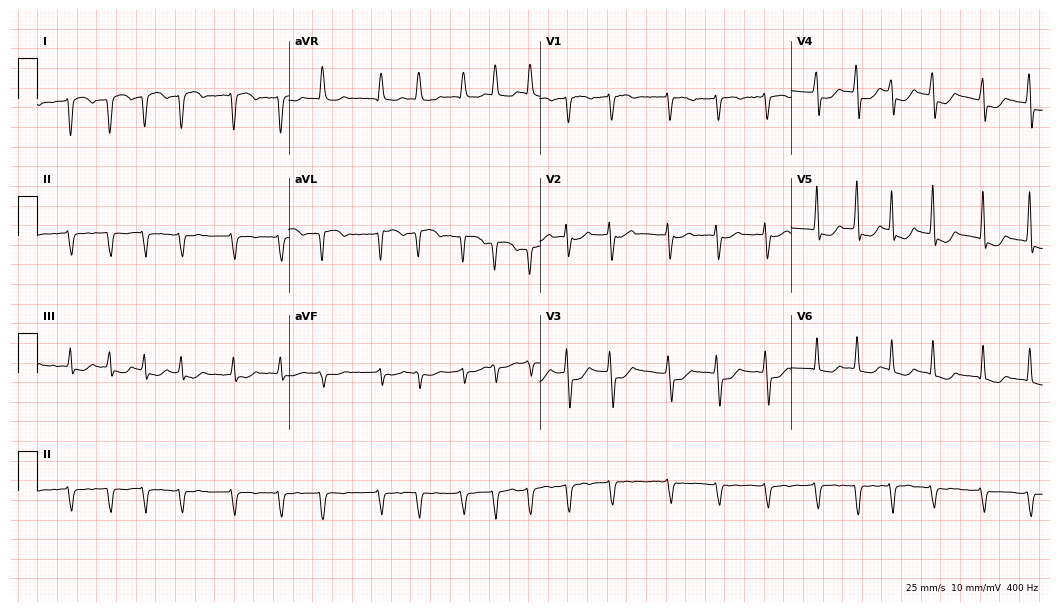
12-lead ECG from a 66-year-old female patient (10.2-second recording at 400 Hz). Shows atrial fibrillation (AF).